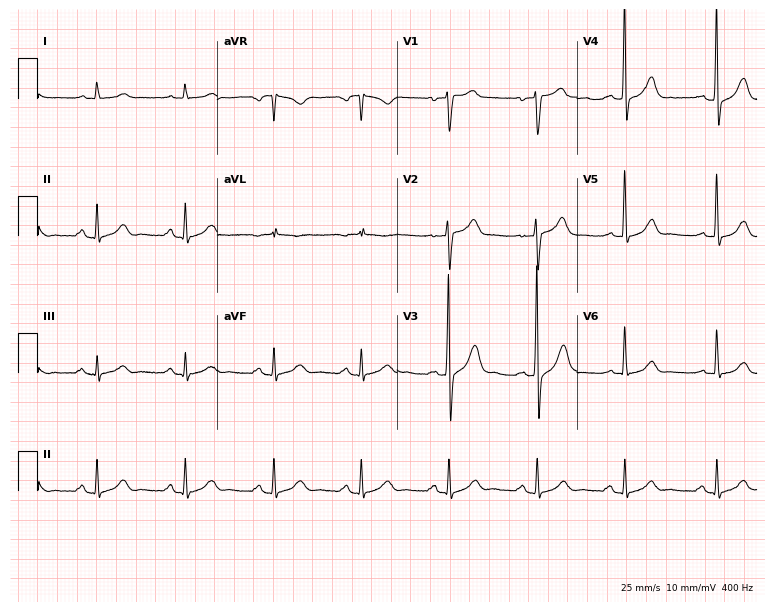
12-lead ECG from a male patient, 67 years old. Recorded interpretation: within normal limits.